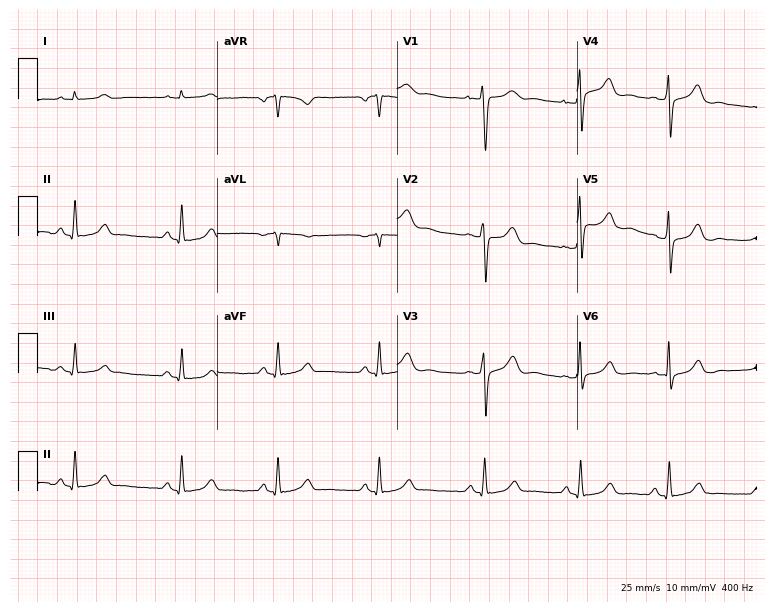
Electrocardiogram (7.3-second recording at 400 Hz), a female, 41 years old. Of the six screened findings (first-degree AV block, right bundle branch block (RBBB), left bundle branch block (LBBB), sinus bradycardia, atrial fibrillation (AF), sinus tachycardia), none is recorded. Only these six findings were labelled.